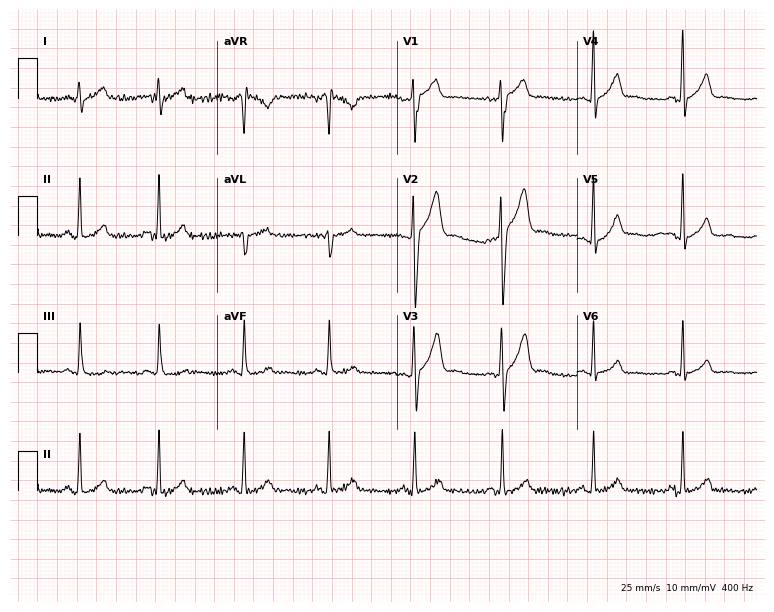
Standard 12-lead ECG recorded from a male, 32 years old. Read as a normal ECG.